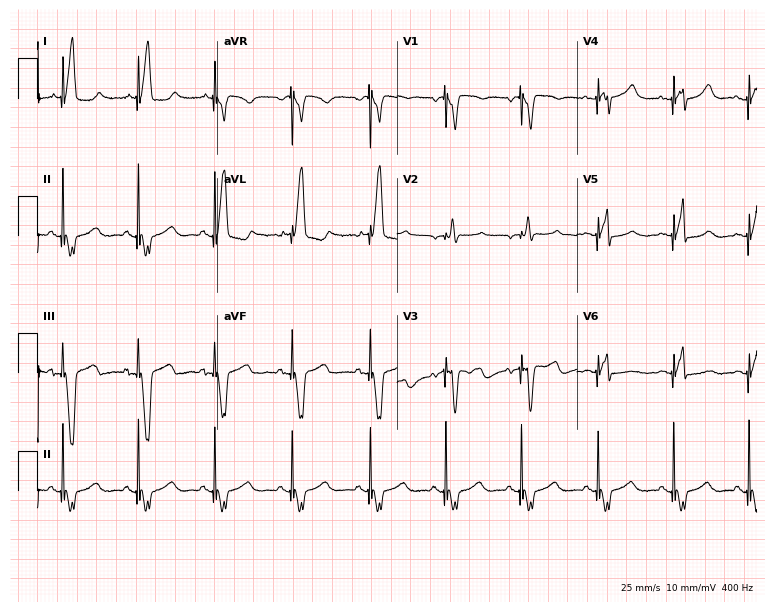
Electrocardiogram (7.3-second recording at 400 Hz), a 75-year-old female patient. Of the six screened findings (first-degree AV block, right bundle branch block (RBBB), left bundle branch block (LBBB), sinus bradycardia, atrial fibrillation (AF), sinus tachycardia), none is recorded.